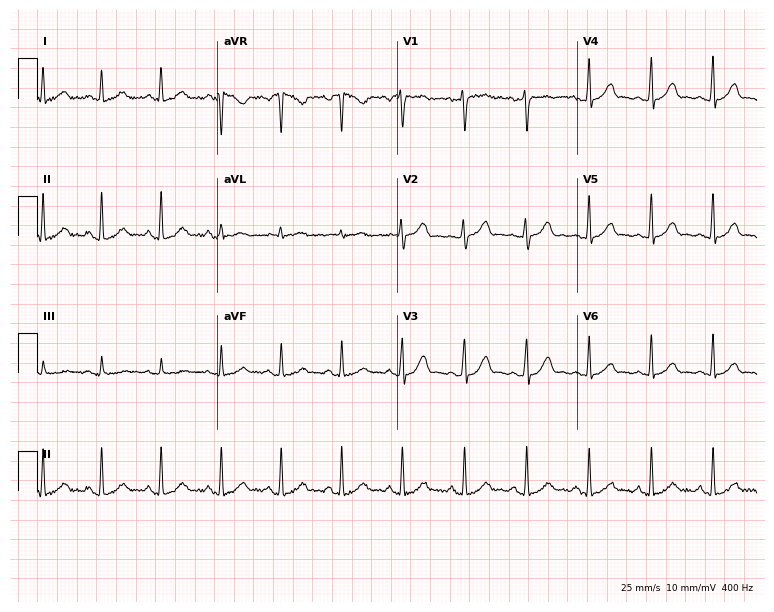
Resting 12-lead electrocardiogram (7.3-second recording at 400 Hz). Patient: a 44-year-old female. Read as a normal ECG.